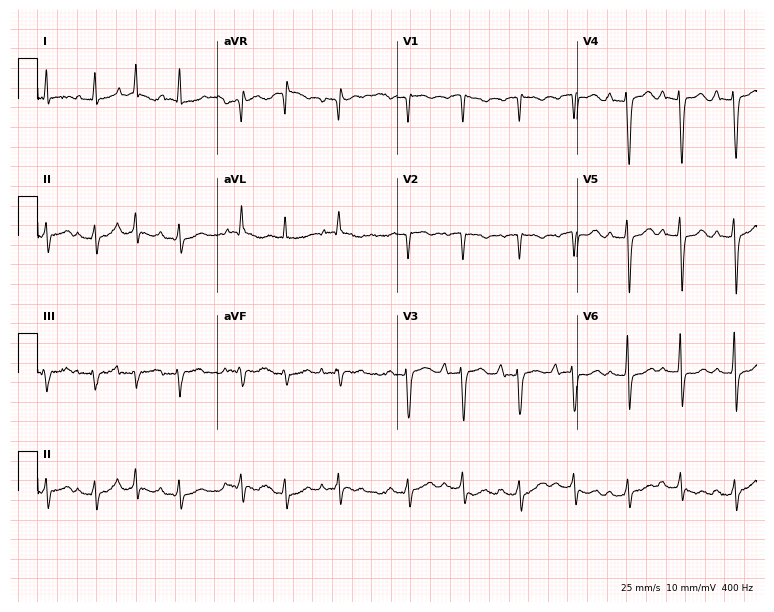
Resting 12-lead electrocardiogram. Patient: a 77-year-old female. None of these six findings is recorded: first-degree AV block, right bundle branch block, left bundle branch block, sinus bradycardia, atrial fibrillation, sinus tachycardia.